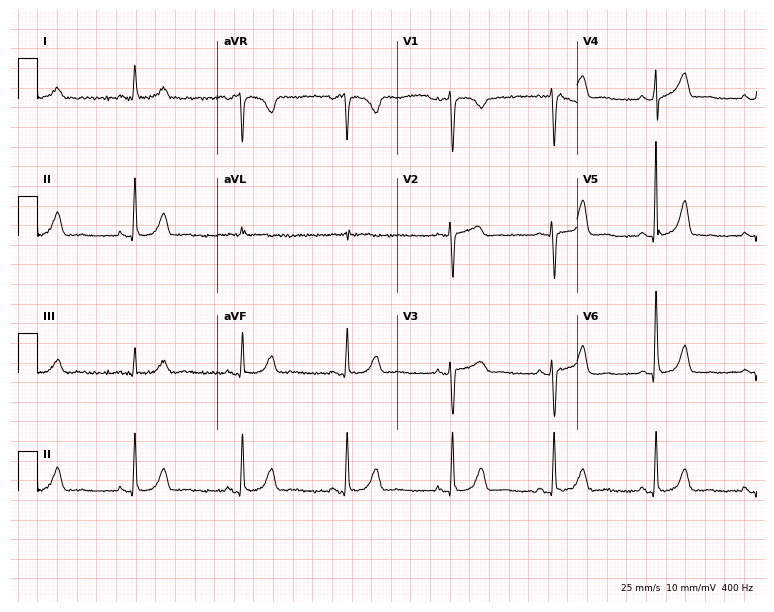
Electrocardiogram, a female, 62 years old. Overall reading on record: normal ECG.